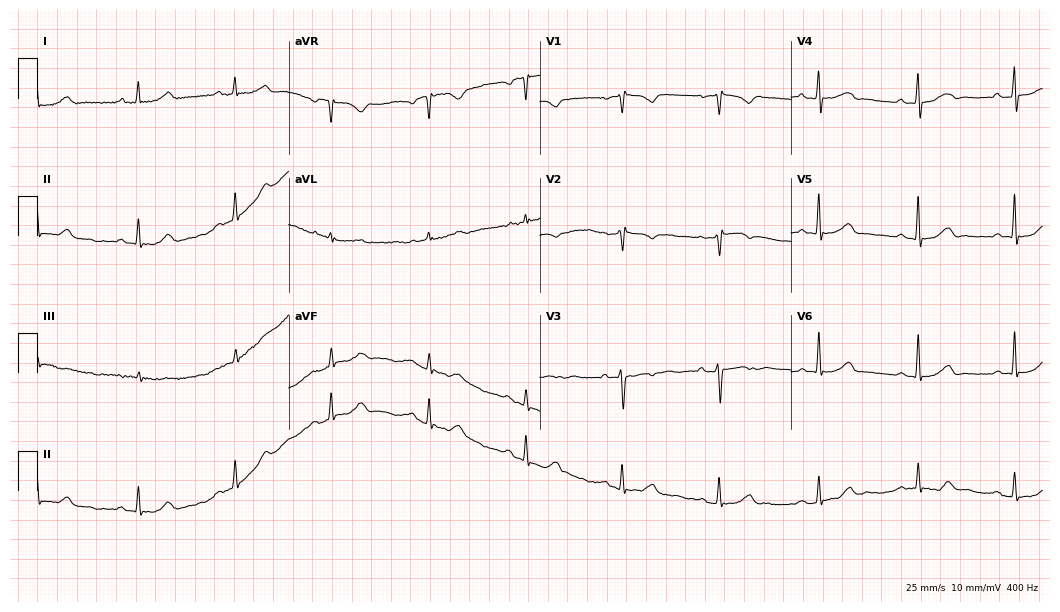
ECG — a 56-year-old female. Labelled as a normal ECG.